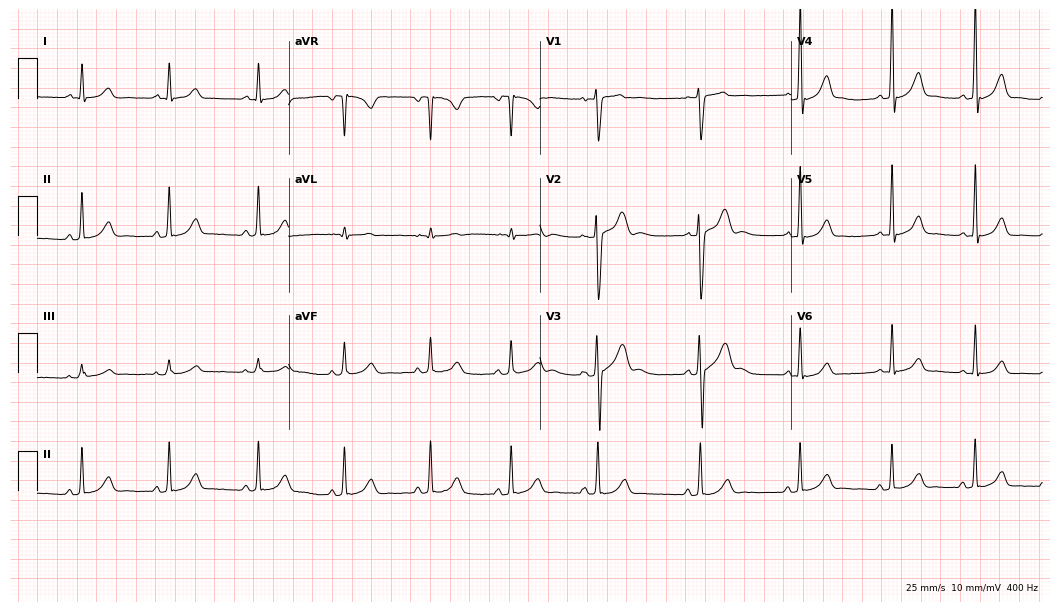
Standard 12-lead ECG recorded from a man, 17 years old (10.2-second recording at 400 Hz). Read as a normal ECG.